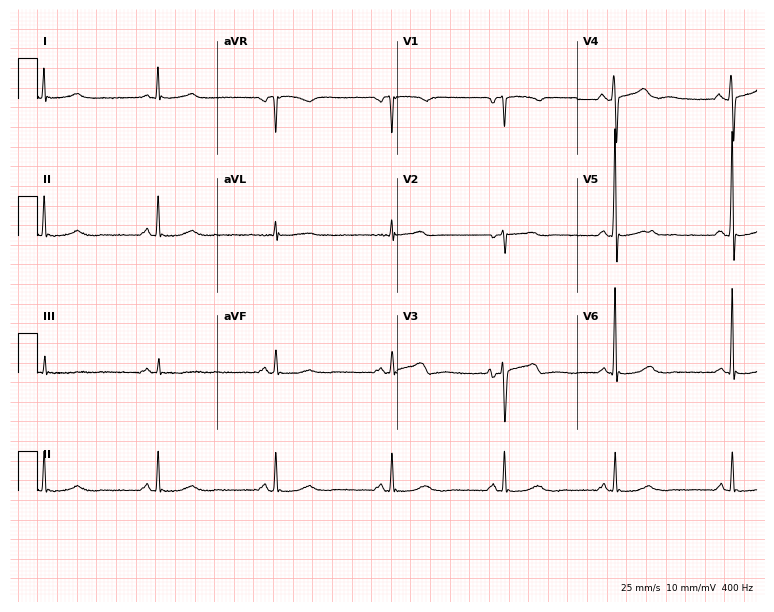
12-lead ECG (7.3-second recording at 400 Hz) from a 59-year-old man. Screened for six findings — first-degree AV block, right bundle branch block, left bundle branch block, sinus bradycardia, atrial fibrillation, sinus tachycardia — none is recorded. Other findings, if any, are not listed.